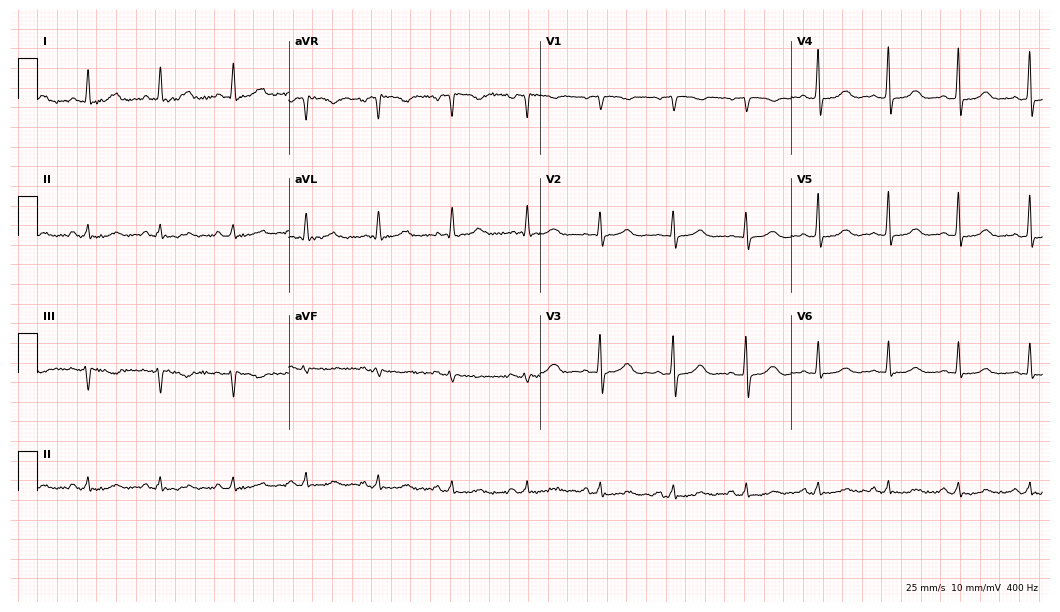
ECG (10.2-second recording at 400 Hz) — a 54-year-old woman. Labelled as a normal ECG.